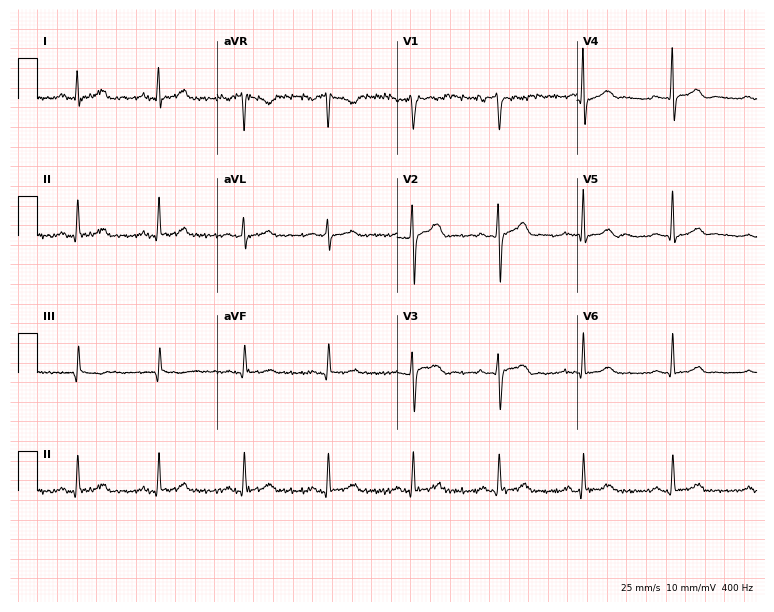
Electrocardiogram (7.3-second recording at 400 Hz), a 49-year-old man. Overall reading on record: normal ECG.